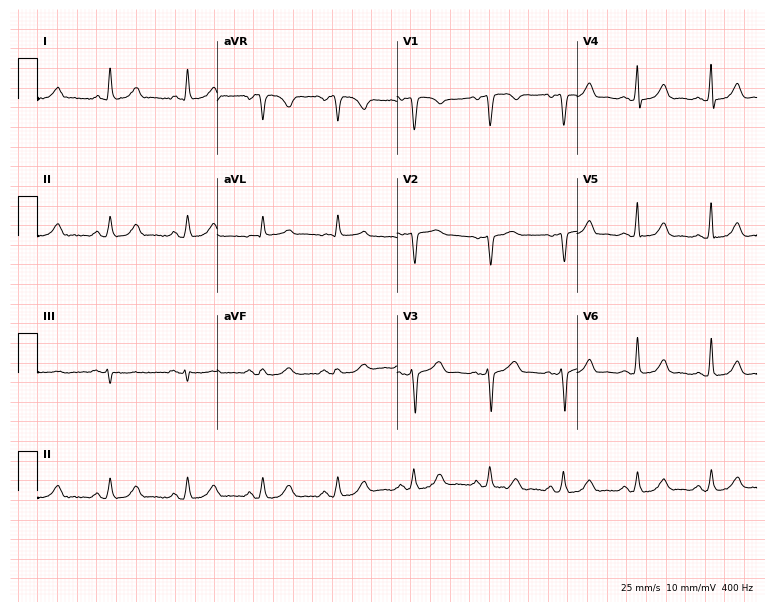
12-lead ECG from a female, 61 years old (7.3-second recording at 400 Hz). No first-degree AV block, right bundle branch block (RBBB), left bundle branch block (LBBB), sinus bradycardia, atrial fibrillation (AF) or sinus tachycardia recorded for this tracing.